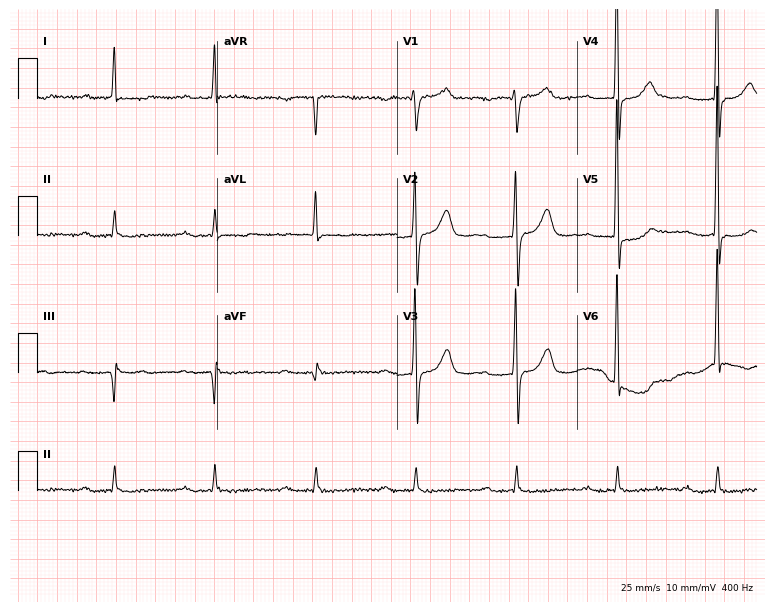
12-lead ECG from a 79-year-old man. Shows first-degree AV block.